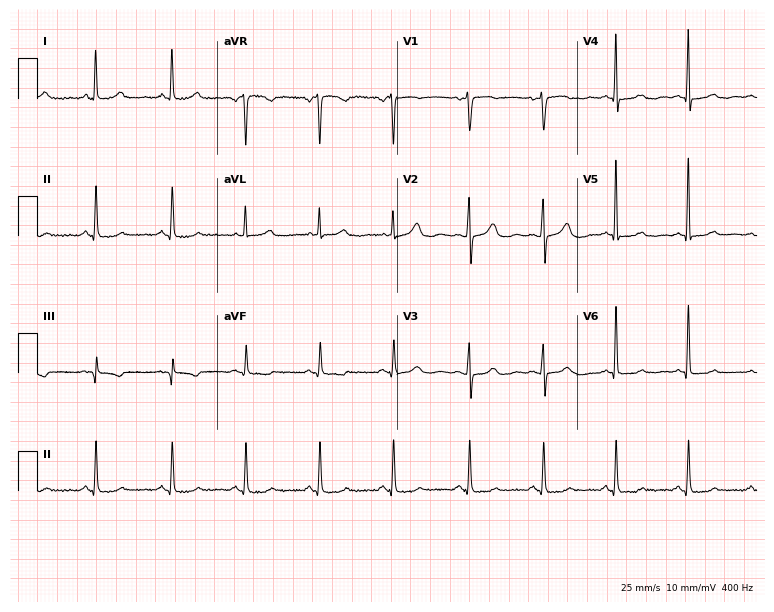
12-lead ECG from a 52-year-old female (7.3-second recording at 400 Hz). Recorded interpretation: within normal limits.